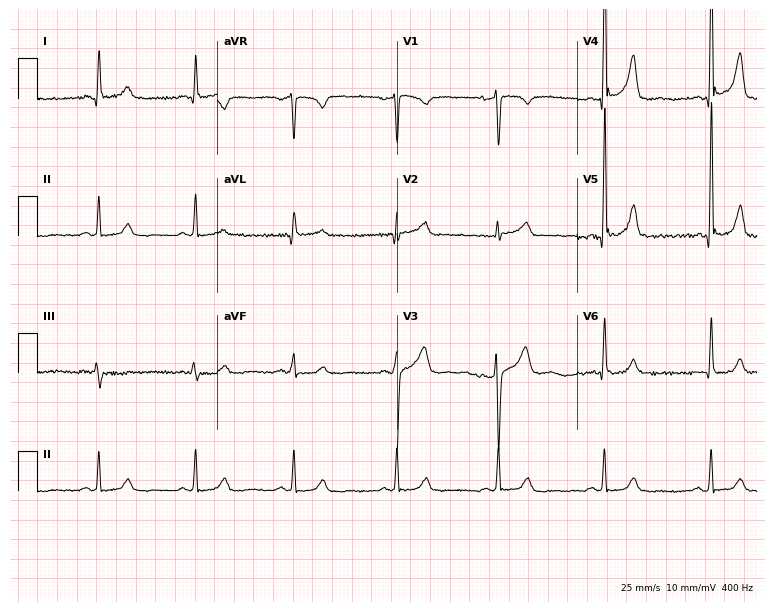
12-lead ECG from a male, 56 years old. Recorded interpretation: within normal limits.